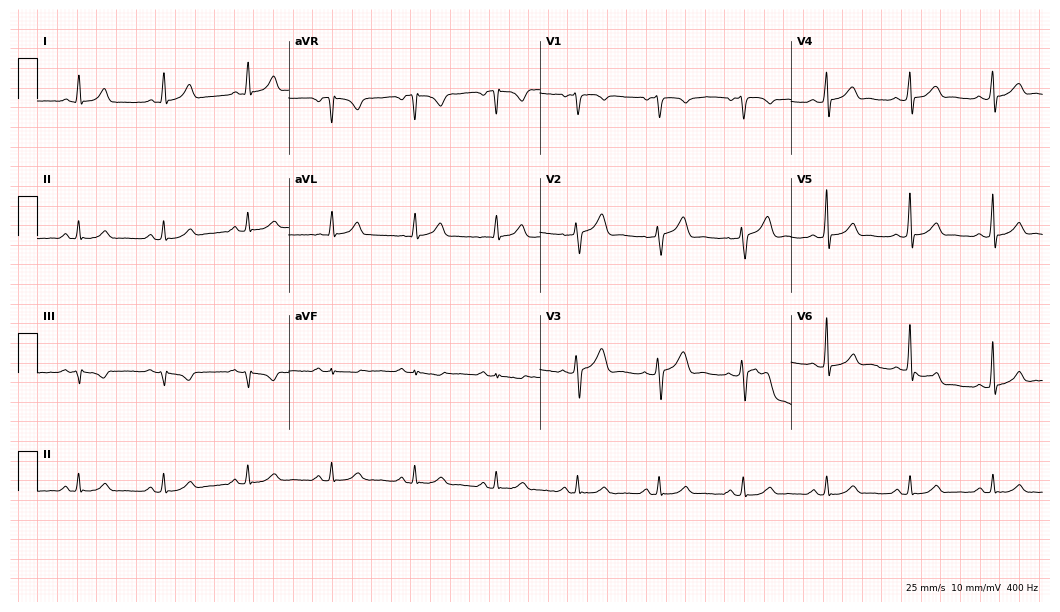
Electrocardiogram (10.2-second recording at 400 Hz), a male patient, 37 years old. Of the six screened findings (first-degree AV block, right bundle branch block (RBBB), left bundle branch block (LBBB), sinus bradycardia, atrial fibrillation (AF), sinus tachycardia), none is recorded. Only these six findings were labelled.